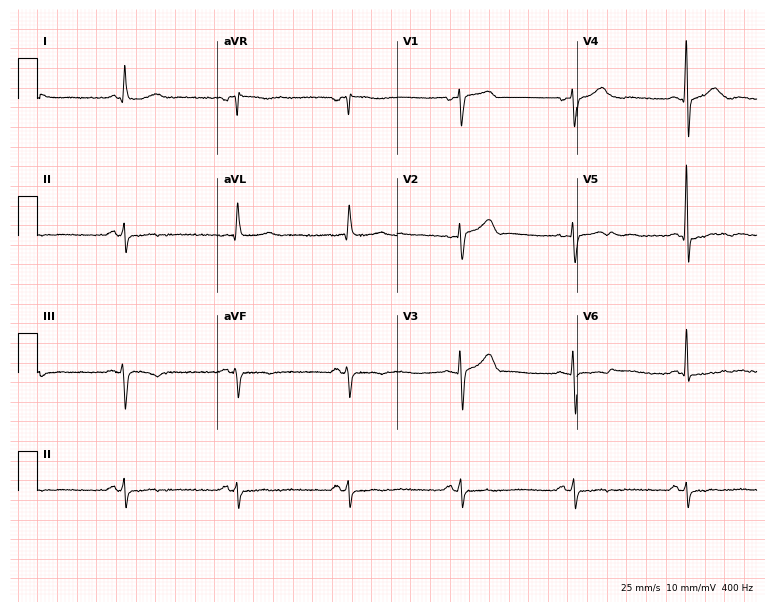
Standard 12-lead ECG recorded from a woman, 58 years old. Read as a normal ECG.